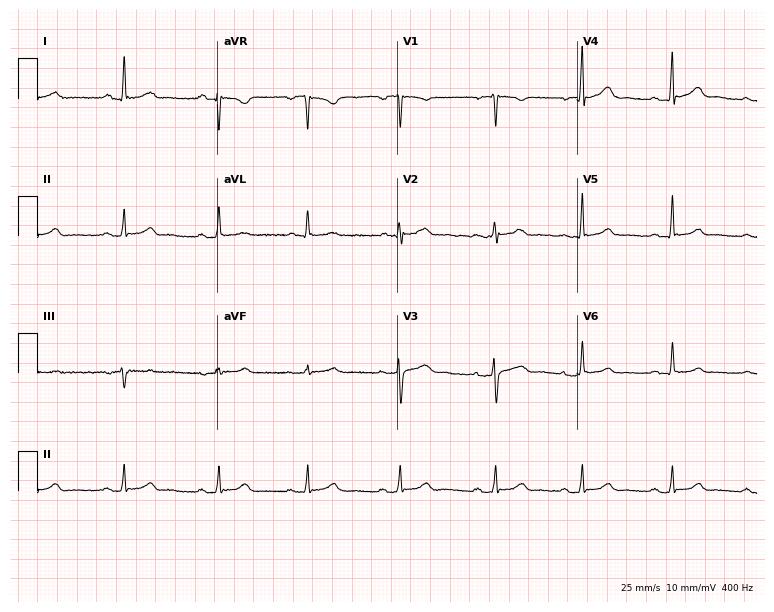
ECG — a 31-year-old female patient. Labelled as a normal ECG.